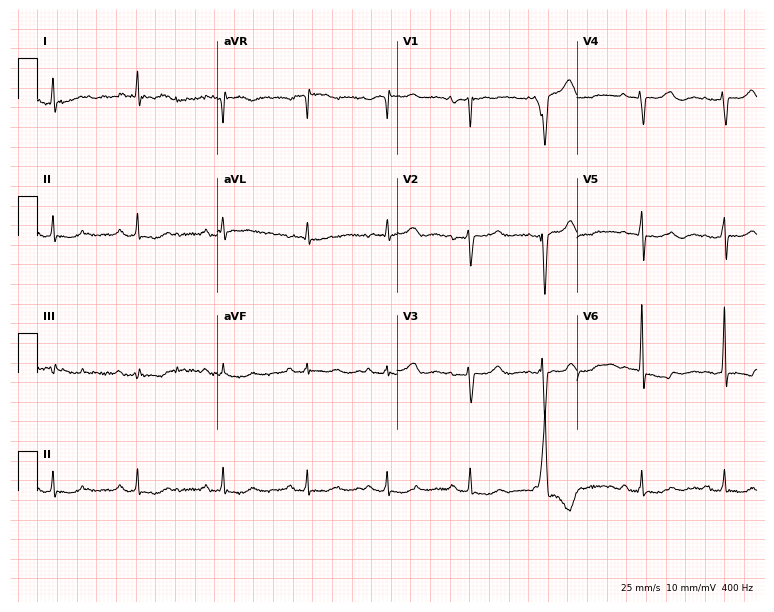
Standard 12-lead ECG recorded from a female, 81 years old (7.3-second recording at 400 Hz). None of these six findings is recorded: first-degree AV block, right bundle branch block (RBBB), left bundle branch block (LBBB), sinus bradycardia, atrial fibrillation (AF), sinus tachycardia. Only these six findings were labelled.